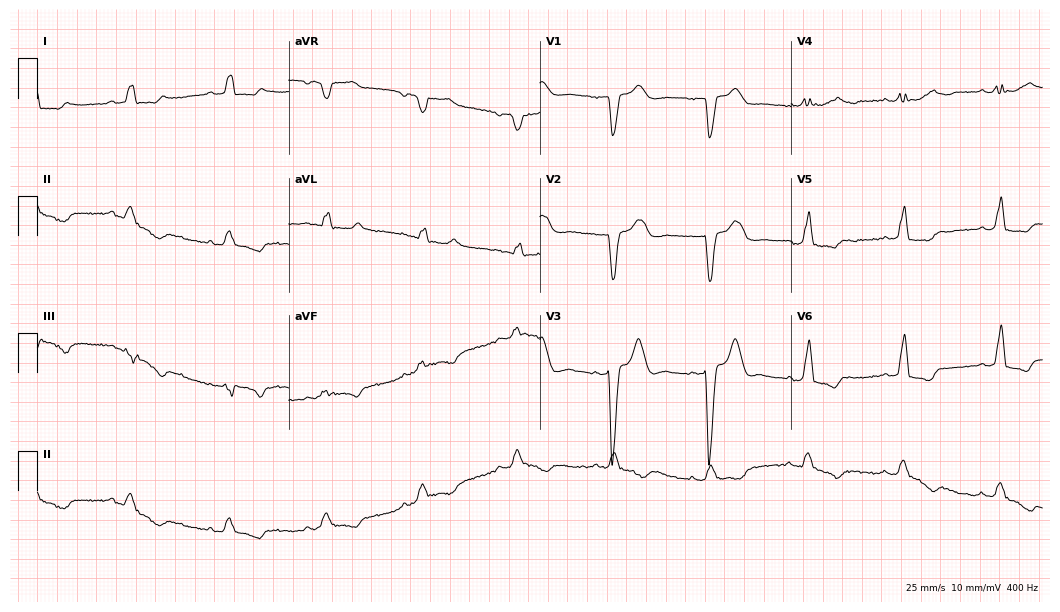
12-lead ECG from an 85-year-old male. Findings include left bundle branch block (LBBB).